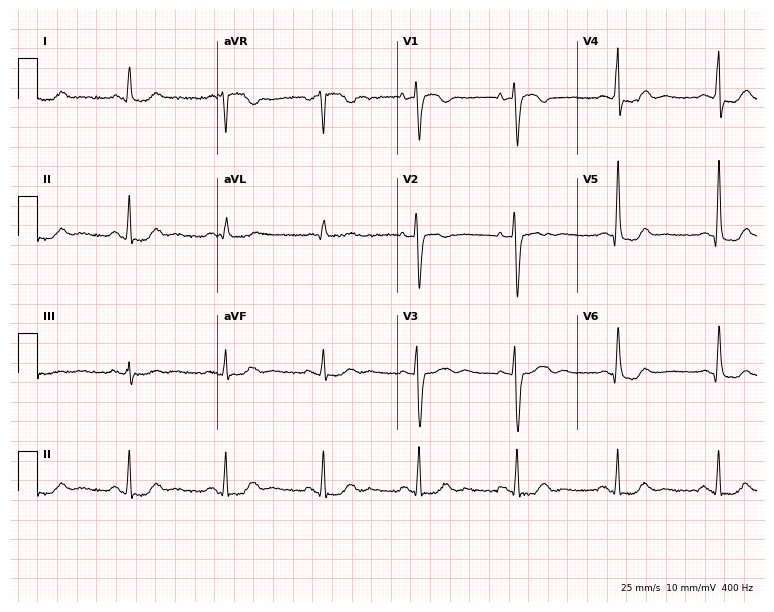
Resting 12-lead electrocardiogram (7.3-second recording at 400 Hz). Patient: a 64-year-old woman. None of these six findings is recorded: first-degree AV block, right bundle branch block, left bundle branch block, sinus bradycardia, atrial fibrillation, sinus tachycardia. Findings outside these six are not listed.